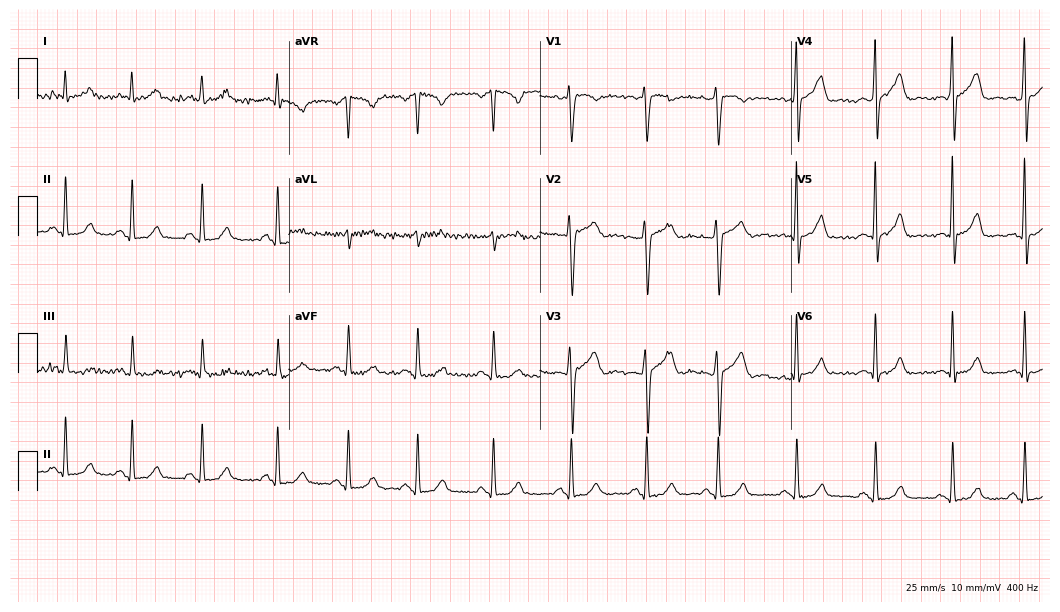
Standard 12-lead ECG recorded from a female, 35 years old. Read as a normal ECG.